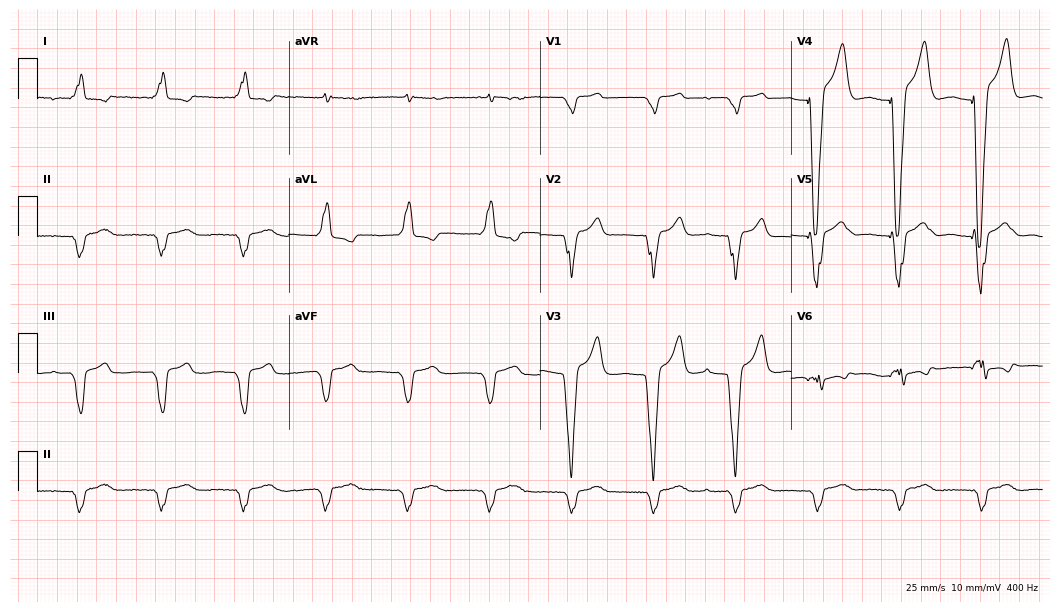
12-lead ECG from a 63-year-old man (10.2-second recording at 400 Hz). No first-degree AV block, right bundle branch block (RBBB), left bundle branch block (LBBB), sinus bradycardia, atrial fibrillation (AF) or sinus tachycardia recorded for this tracing.